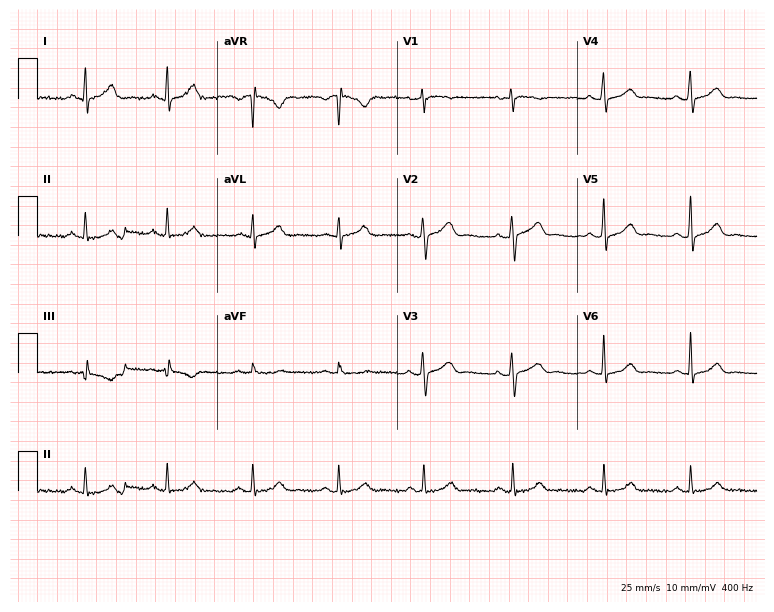
Electrocardiogram (7.3-second recording at 400 Hz), a female patient, 41 years old. Overall reading on record: normal ECG.